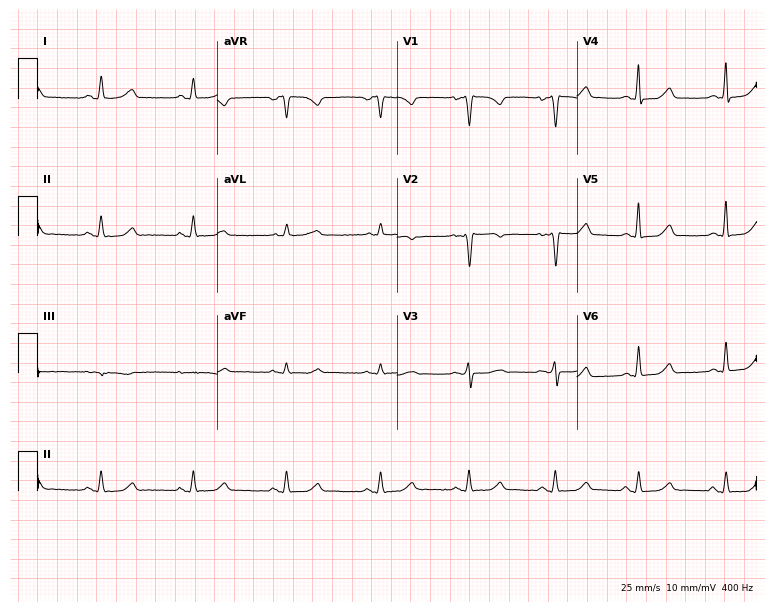
Resting 12-lead electrocardiogram (7.3-second recording at 400 Hz). Patient: a 40-year-old female. None of these six findings is recorded: first-degree AV block, right bundle branch block, left bundle branch block, sinus bradycardia, atrial fibrillation, sinus tachycardia.